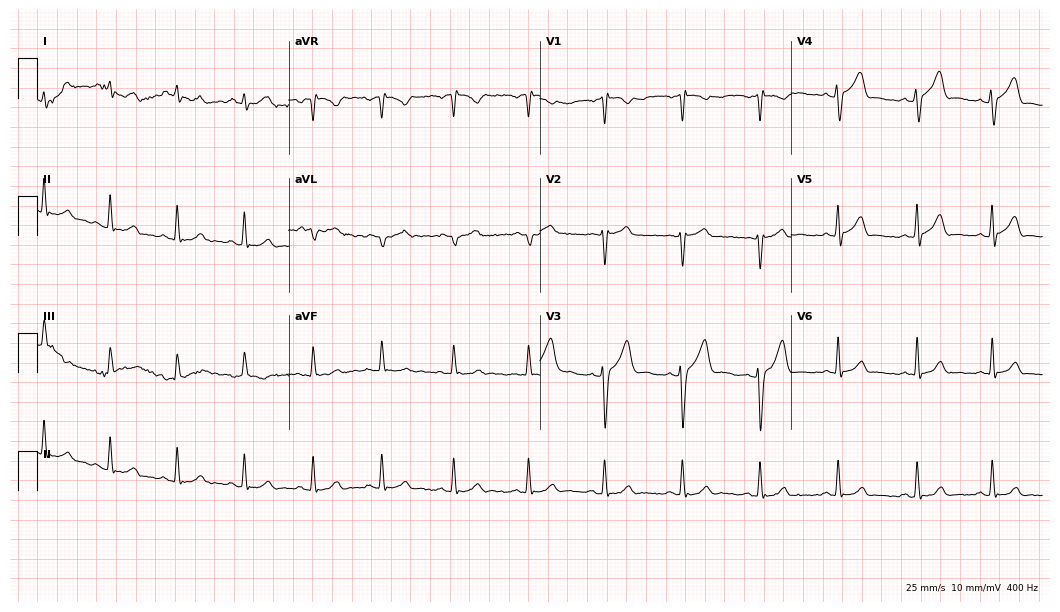
Resting 12-lead electrocardiogram (10.2-second recording at 400 Hz). Patient: a 35-year-old male. None of these six findings is recorded: first-degree AV block, right bundle branch block, left bundle branch block, sinus bradycardia, atrial fibrillation, sinus tachycardia. Other findings, if any, are not listed.